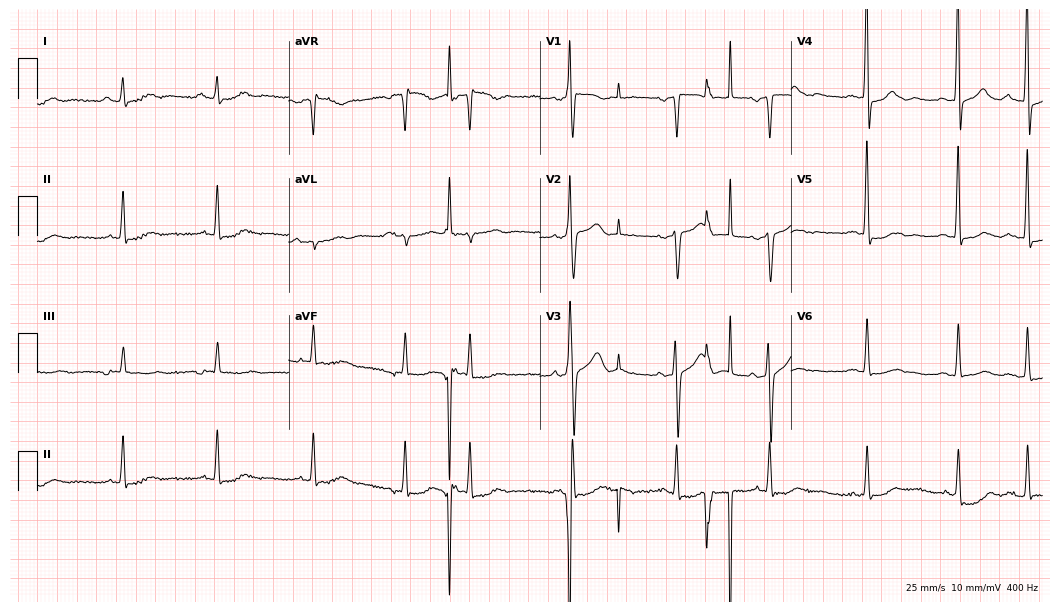
Standard 12-lead ECG recorded from a 74-year-old male patient. Read as a normal ECG.